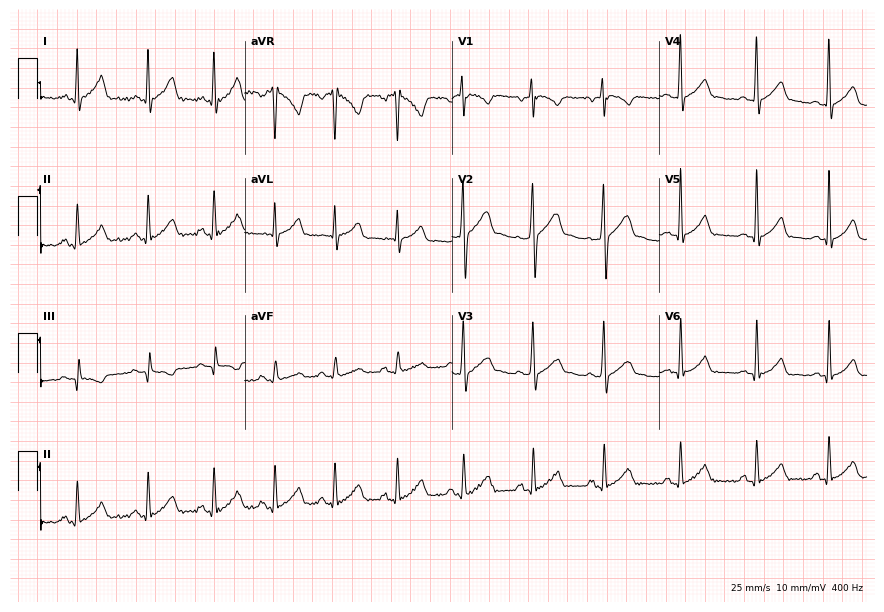
Resting 12-lead electrocardiogram. Patient: a male, 21 years old. Read as a normal ECG.